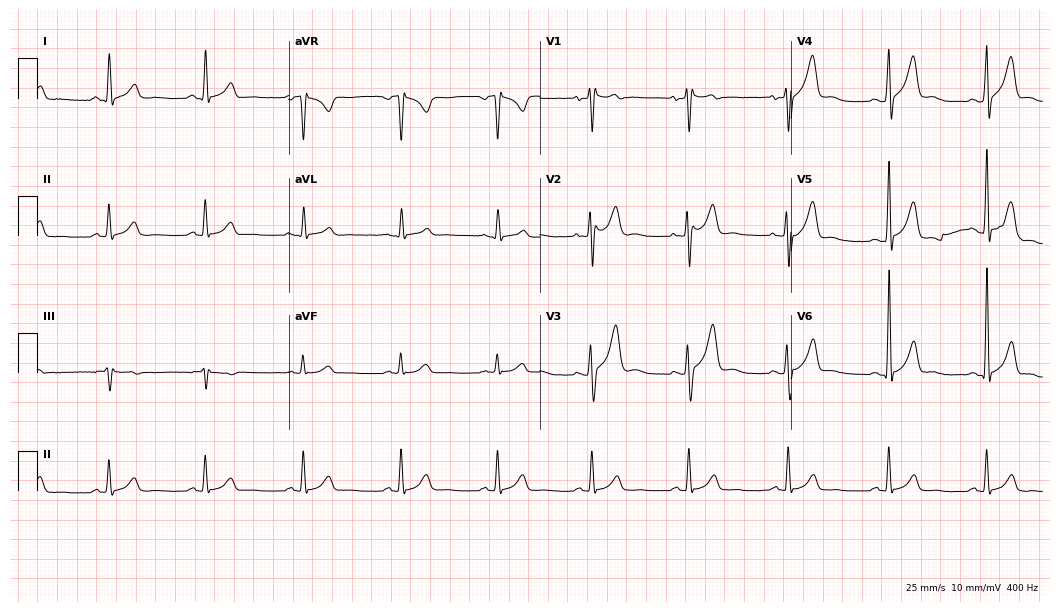
12-lead ECG from a male, 42 years old. No first-degree AV block, right bundle branch block, left bundle branch block, sinus bradycardia, atrial fibrillation or sinus tachycardia recorded for this tracing. Findings outside these six are not listed.